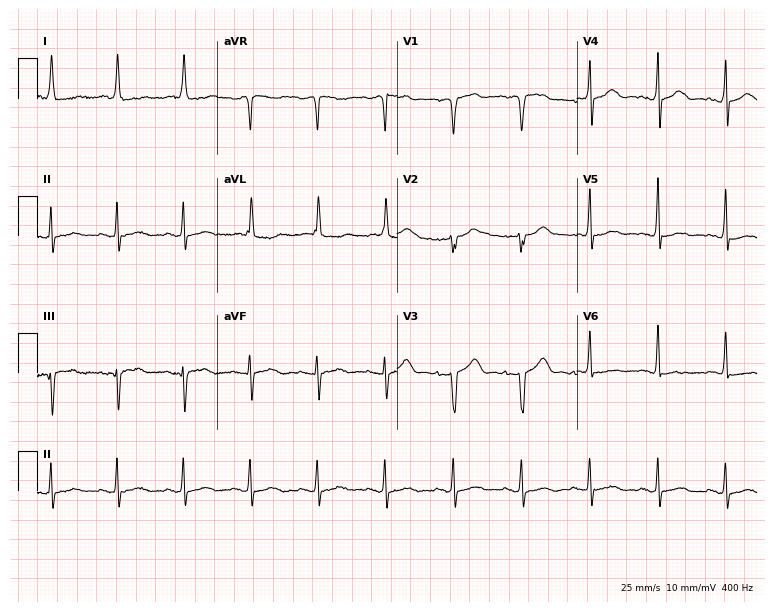
Standard 12-lead ECG recorded from an 83-year-old woman. None of these six findings is recorded: first-degree AV block, right bundle branch block (RBBB), left bundle branch block (LBBB), sinus bradycardia, atrial fibrillation (AF), sinus tachycardia.